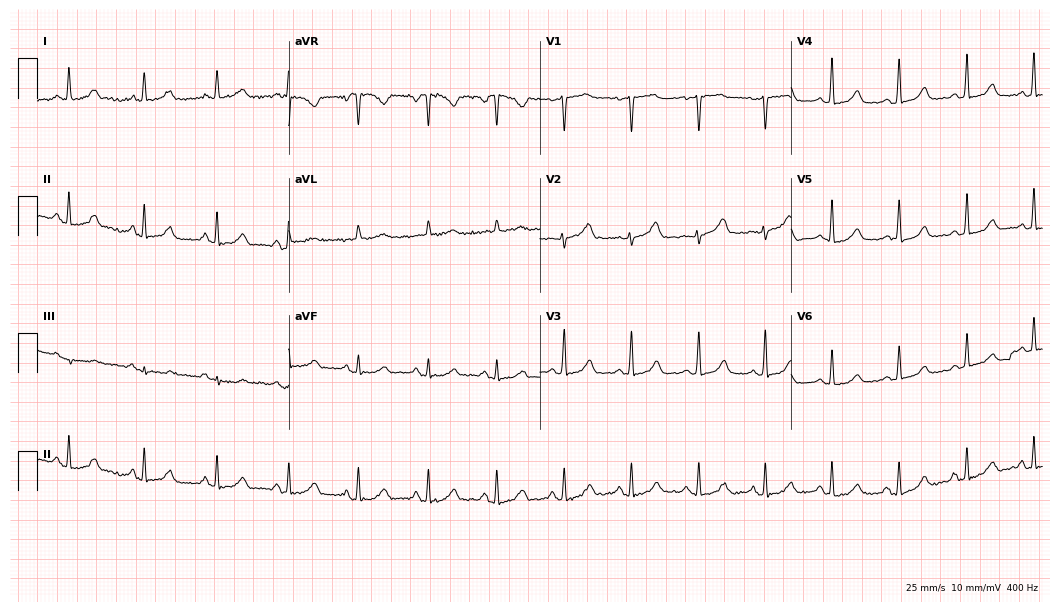
Electrocardiogram, a 45-year-old female patient. Overall reading on record: normal ECG.